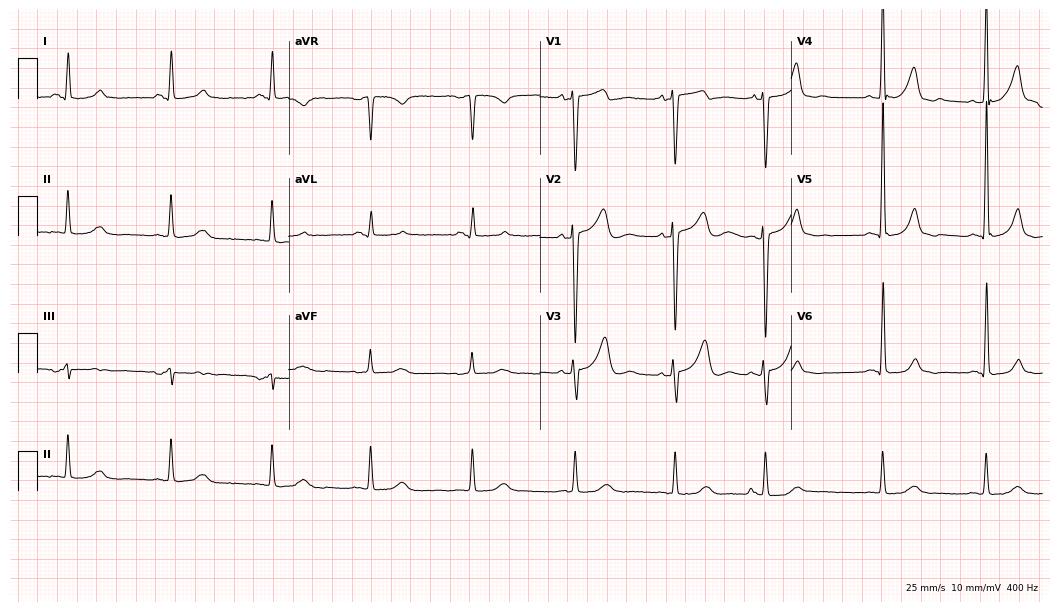
Resting 12-lead electrocardiogram (10.2-second recording at 400 Hz). Patient: a man, 40 years old. None of these six findings is recorded: first-degree AV block, right bundle branch block (RBBB), left bundle branch block (LBBB), sinus bradycardia, atrial fibrillation (AF), sinus tachycardia.